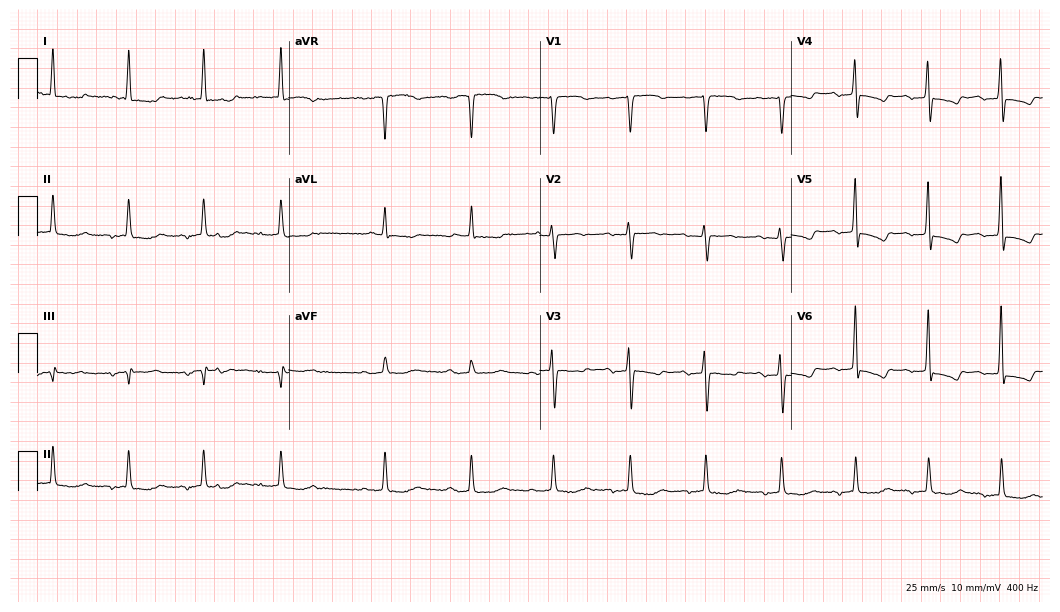
Electrocardiogram, a female, 81 years old. Of the six screened findings (first-degree AV block, right bundle branch block, left bundle branch block, sinus bradycardia, atrial fibrillation, sinus tachycardia), none is recorded. Other findings, if any, are not listed.